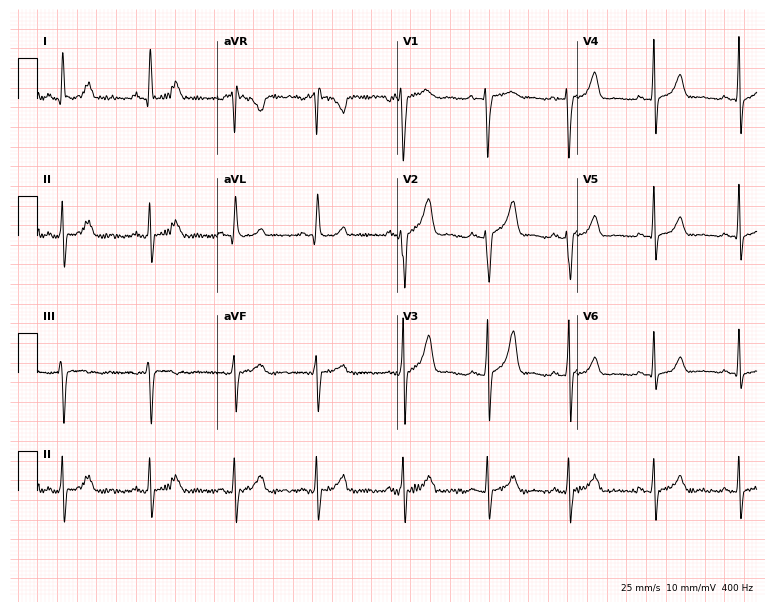
Resting 12-lead electrocardiogram. Patient: a woman, 28 years old. Read as a normal ECG.